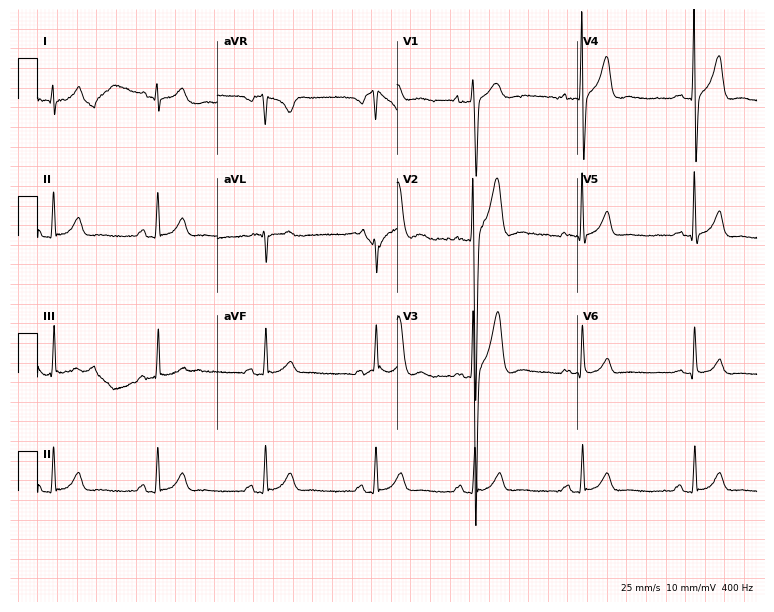
ECG — a male patient, 28 years old. Screened for six findings — first-degree AV block, right bundle branch block, left bundle branch block, sinus bradycardia, atrial fibrillation, sinus tachycardia — none is recorded. Findings outside these six are not listed.